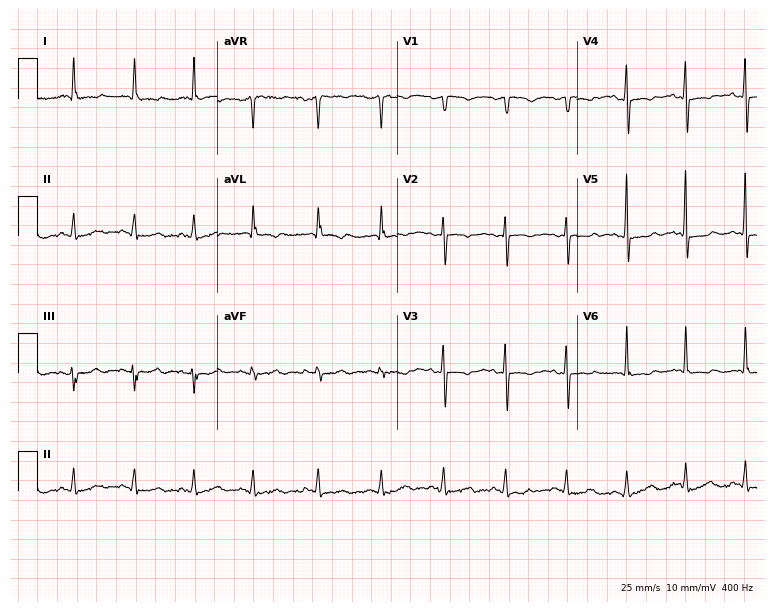
Standard 12-lead ECG recorded from a 32-year-old female patient (7.3-second recording at 400 Hz). None of these six findings is recorded: first-degree AV block, right bundle branch block (RBBB), left bundle branch block (LBBB), sinus bradycardia, atrial fibrillation (AF), sinus tachycardia.